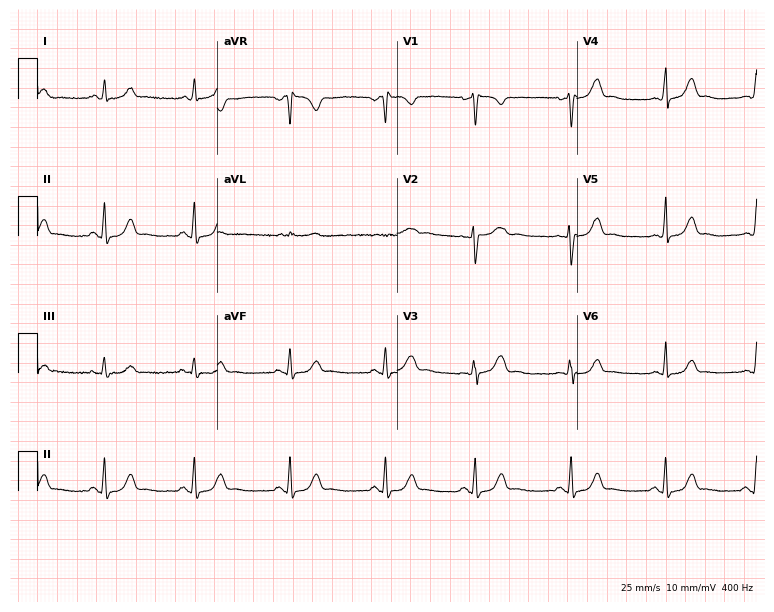
12-lead ECG from a female patient, 26 years old (7.3-second recording at 400 Hz). No first-degree AV block, right bundle branch block, left bundle branch block, sinus bradycardia, atrial fibrillation or sinus tachycardia recorded for this tracing. Findings outside these six are not listed.